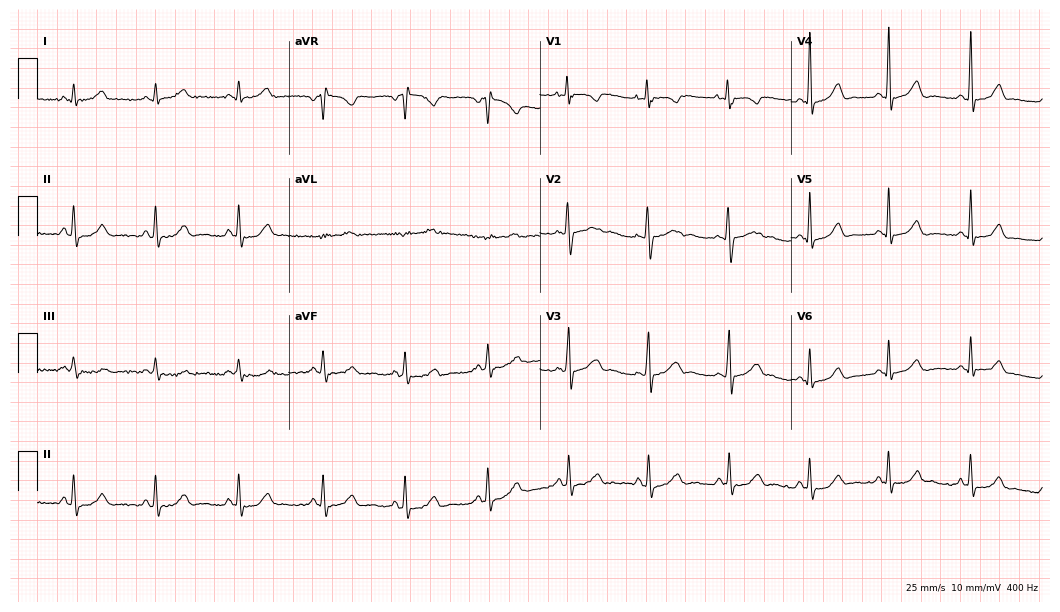
Resting 12-lead electrocardiogram (10.2-second recording at 400 Hz). Patient: a 35-year-old woman. Read as a normal ECG.